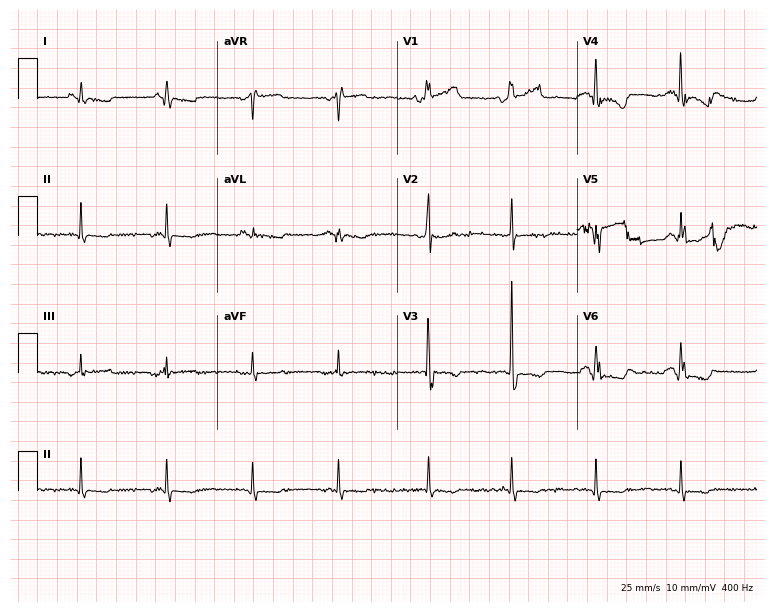
12-lead ECG from a 69-year-old male patient (7.3-second recording at 400 Hz). No first-degree AV block, right bundle branch block, left bundle branch block, sinus bradycardia, atrial fibrillation or sinus tachycardia recorded for this tracing. Only these six findings were labelled.